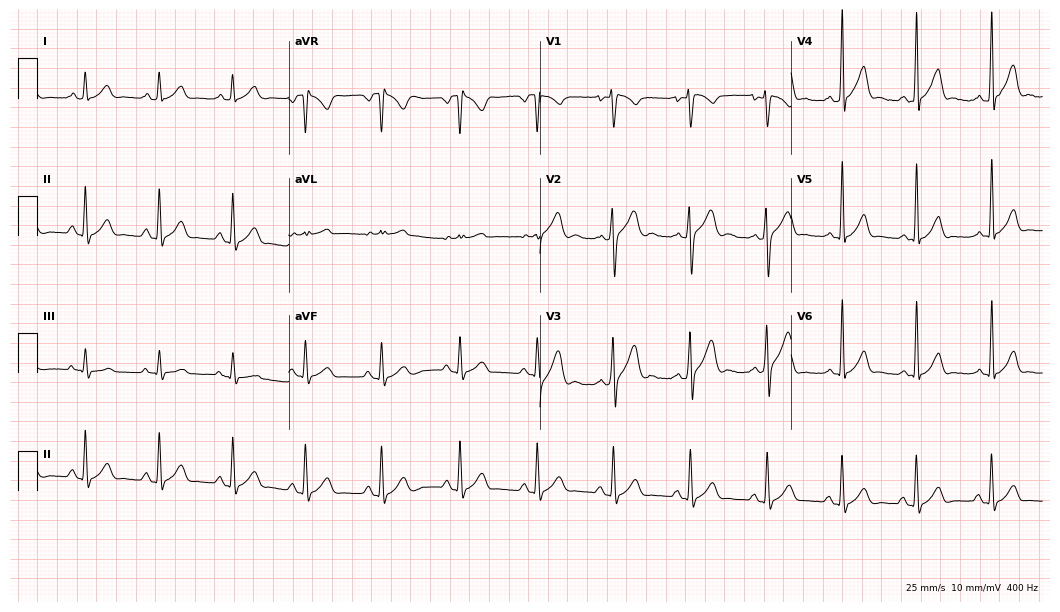
ECG — a 19-year-old male patient. Labelled as a normal ECG.